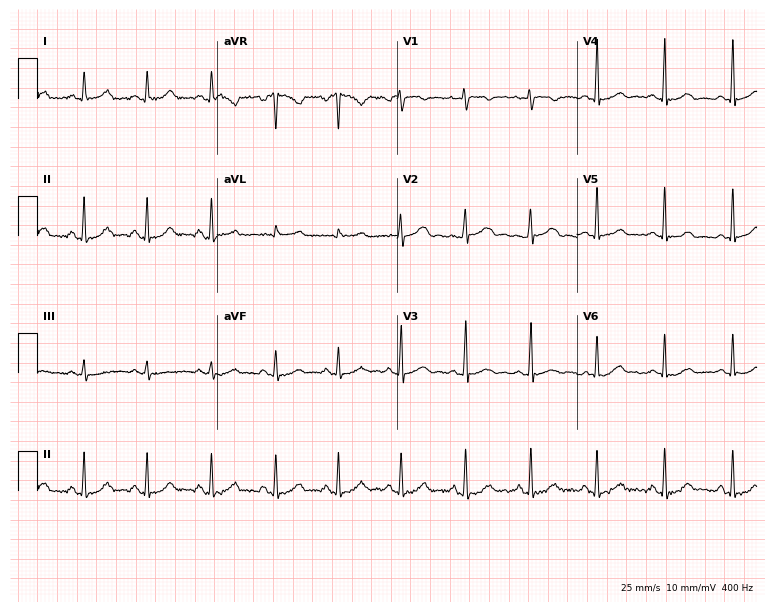
ECG — a 42-year-old woman. Screened for six findings — first-degree AV block, right bundle branch block (RBBB), left bundle branch block (LBBB), sinus bradycardia, atrial fibrillation (AF), sinus tachycardia — none is recorded.